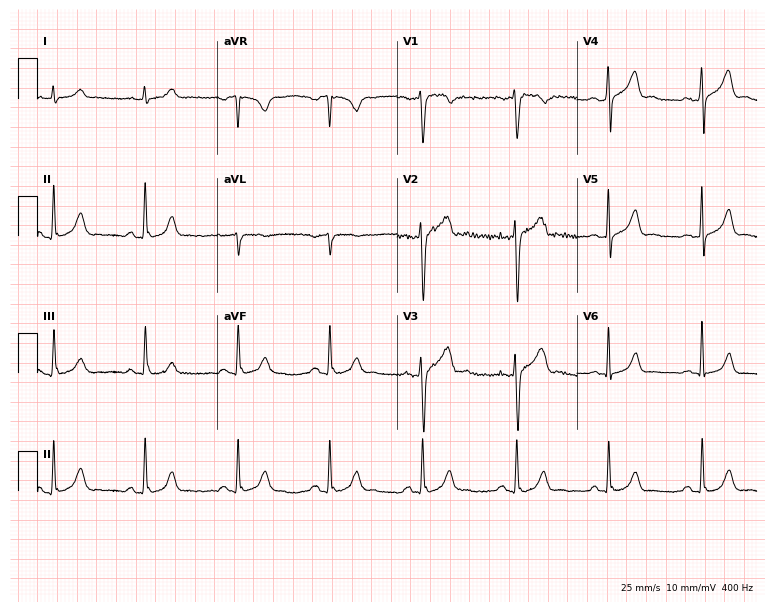
Standard 12-lead ECG recorded from a female, 48 years old (7.3-second recording at 400 Hz). Read as a normal ECG.